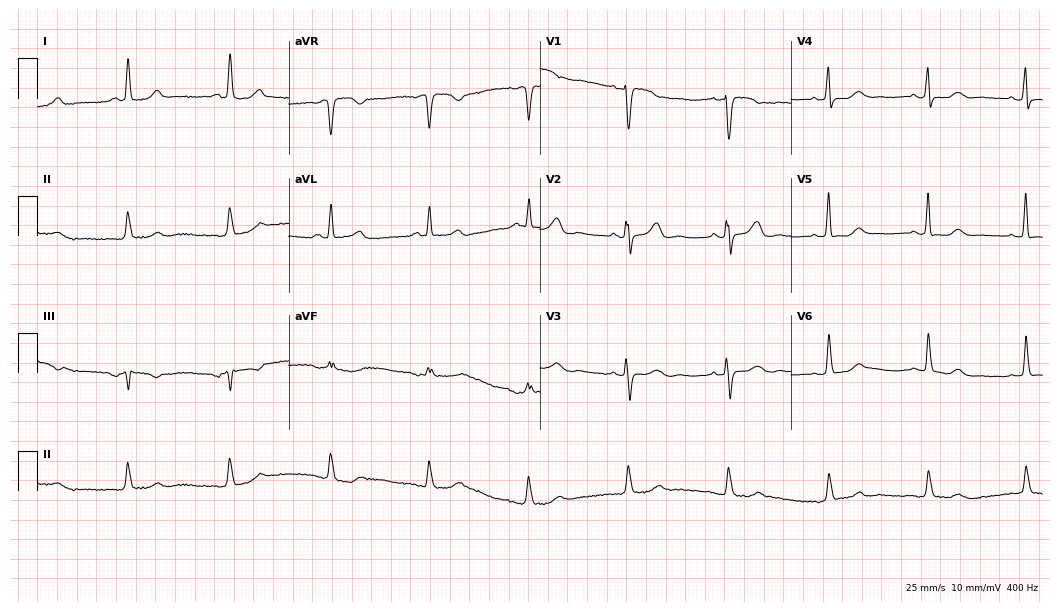
Standard 12-lead ECG recorded from a female patient, 74 years old (10.2-second recording at 400 Hz). Read as a normal ECG.